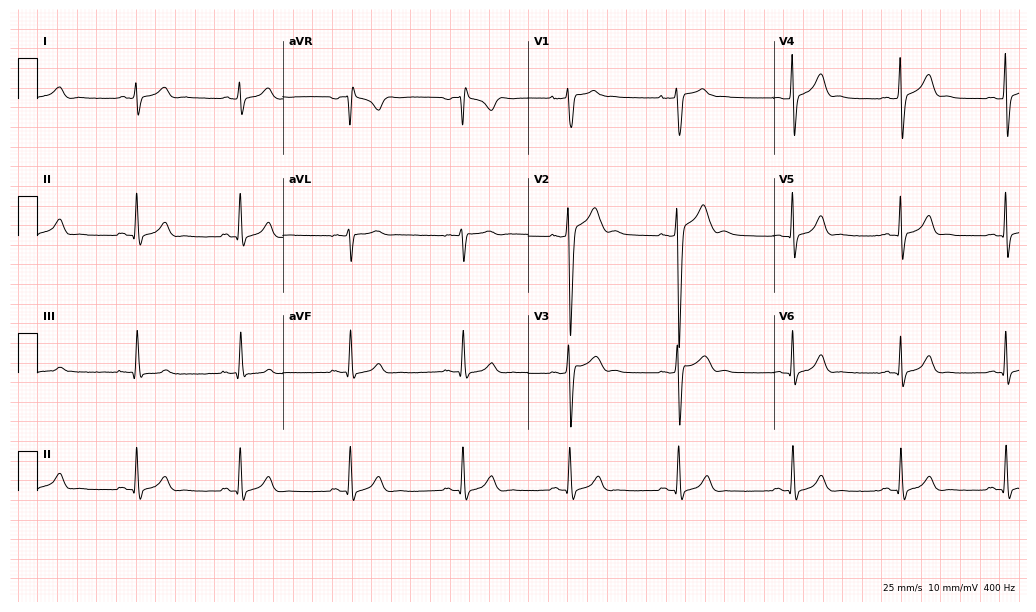
Resting 12-lead electrocardiogram. Patient: a 20-year-old man. None of these six findings is recorded: first-degree AV block, right bundle branch block, left bundle branch block, sinus bradycardia, atrial fibrillation, sinus tachycardia.